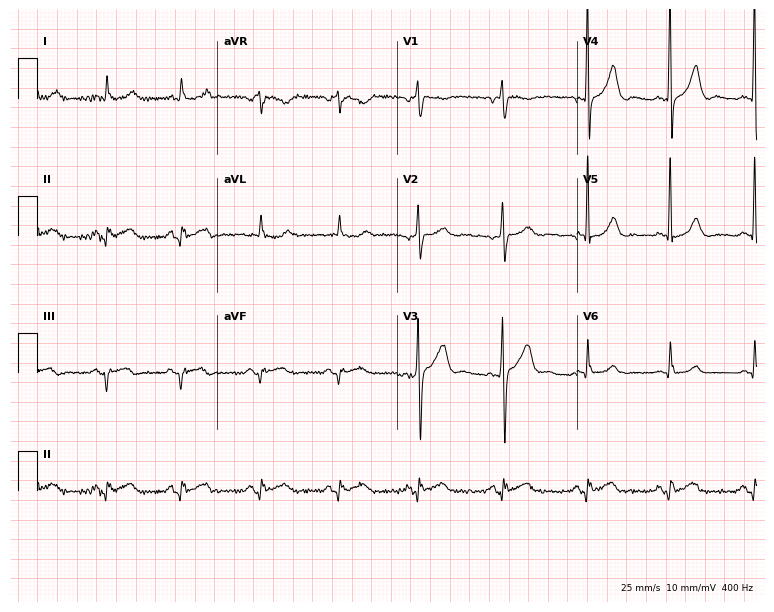
12-lead ECG from a 63-year-old male patient (7.3-second recording at 400 Hz). No first-degree AV block, right bundle branch block, left bundle branch block, sinus bradycardia, atrial fibrillation or sinus tachycardia recorded for this tracing.